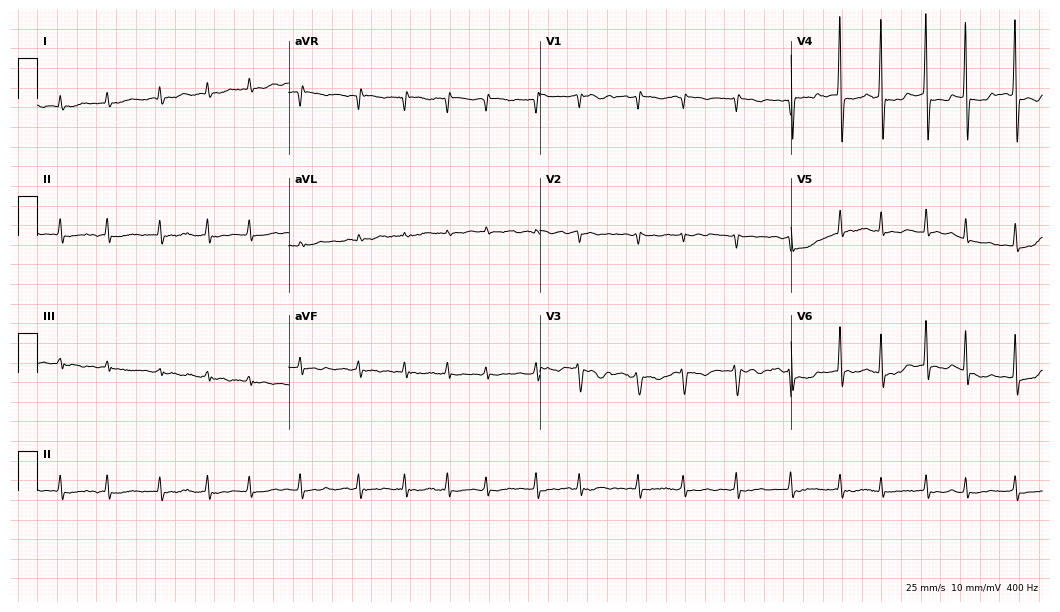
Electrocardiogram, a 78-year-old woman. Interpretation includes atrial fibrillation (AF).